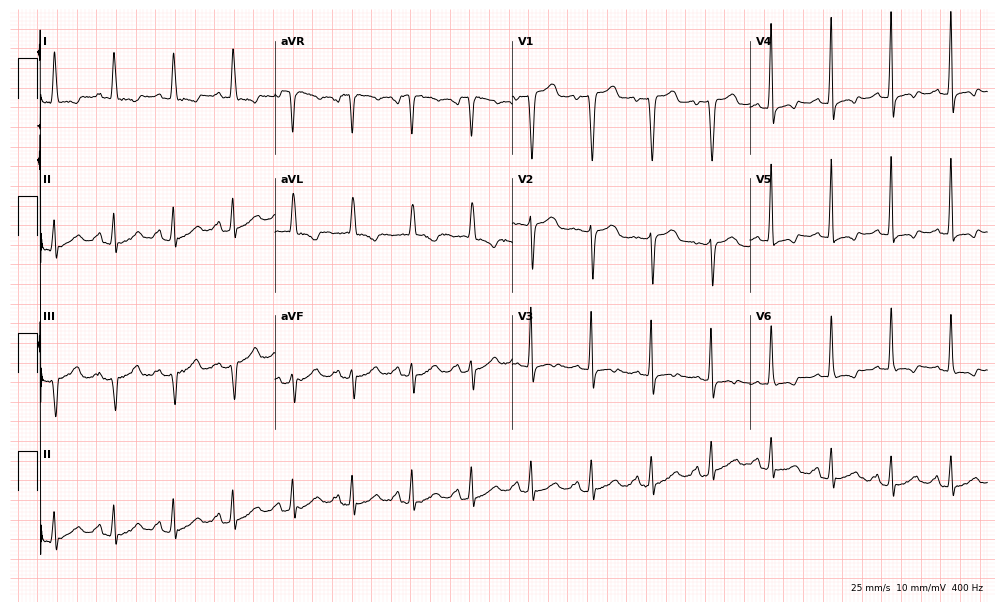
Standard 12-lead ECG recorded from a female patient, 69 years old. None of these six findings is recorded: first-degree AV block, right bundle branch block, left bundle branch block, sinus bradycardia, atrial fibrillation, sinus tachycardia. Findings outside these six are not listed.